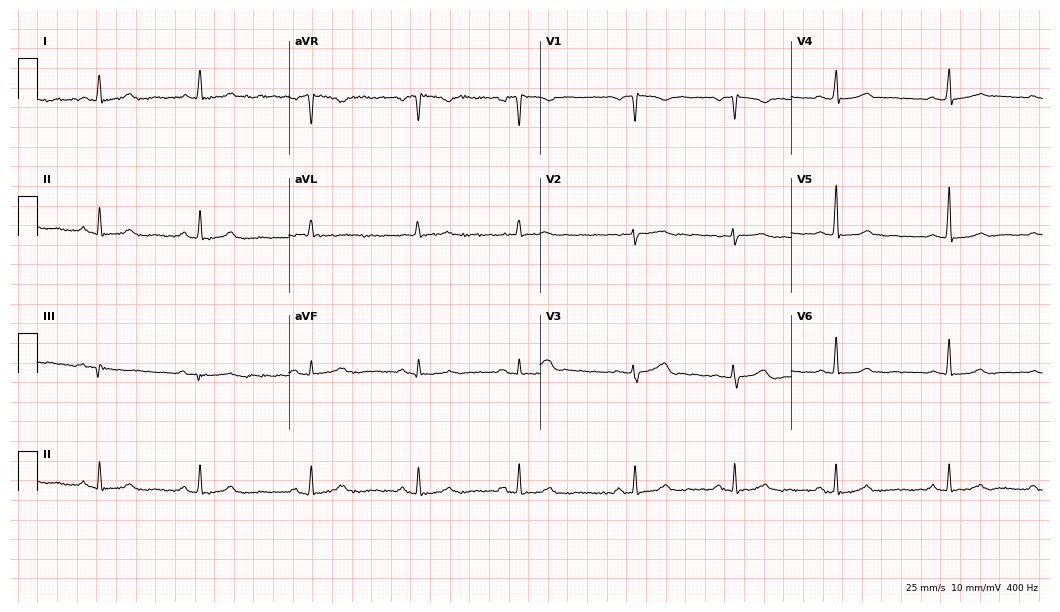
ECG — a 38-year-old female patient. Labelled as a normal ECG.